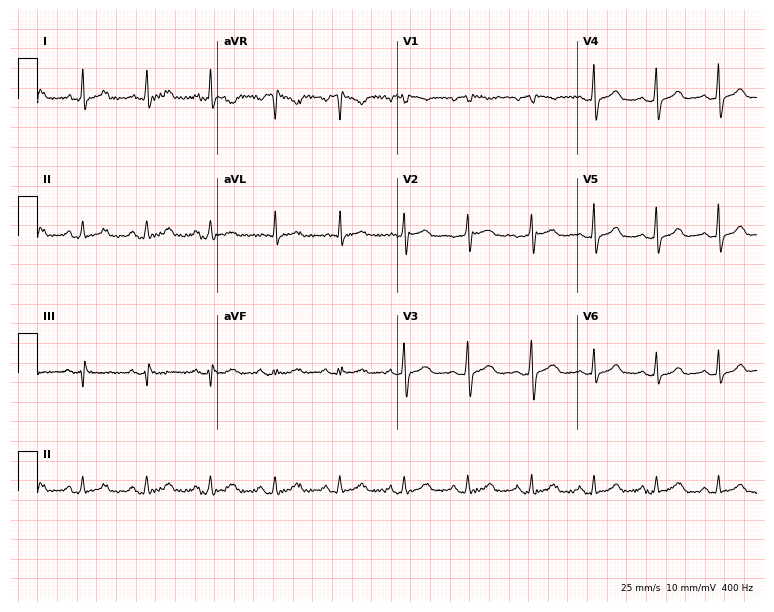
12-lead ECG (7.3-second recording at 400 Hz) from a woman, 57 years old. Screened for six findings — first-degree AV block, right bundle branch block, left bundle branch block, sinus bradycardia, atrial fibrillation, sinus tachycardia — none is recorded. Findings outside these six are not listed.